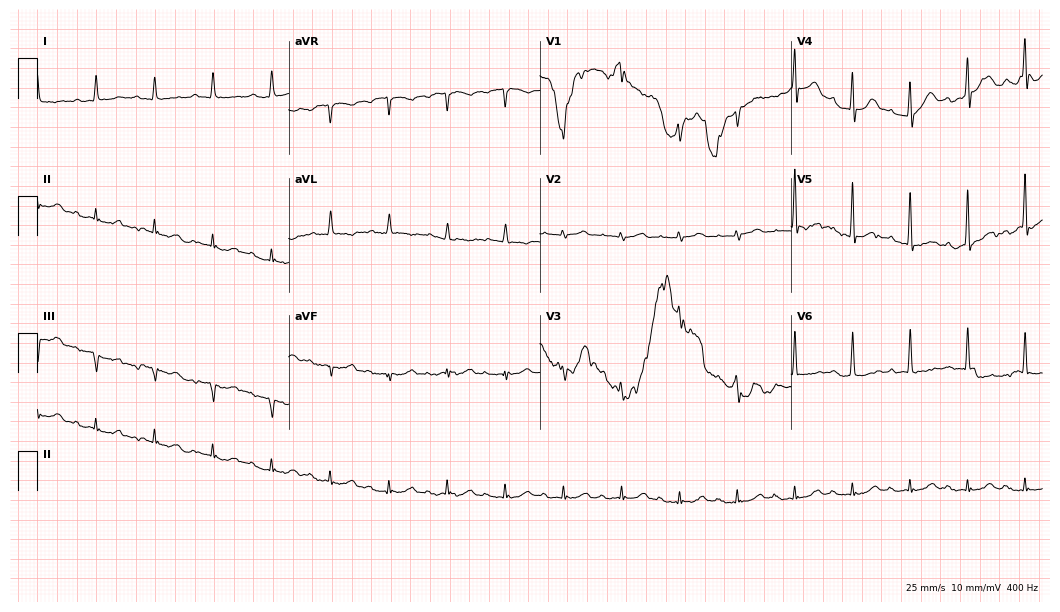
12-lead ECG (10.2-second recording at 400 Hz) from an 82-year-old man. Findings include first-degree AV block.